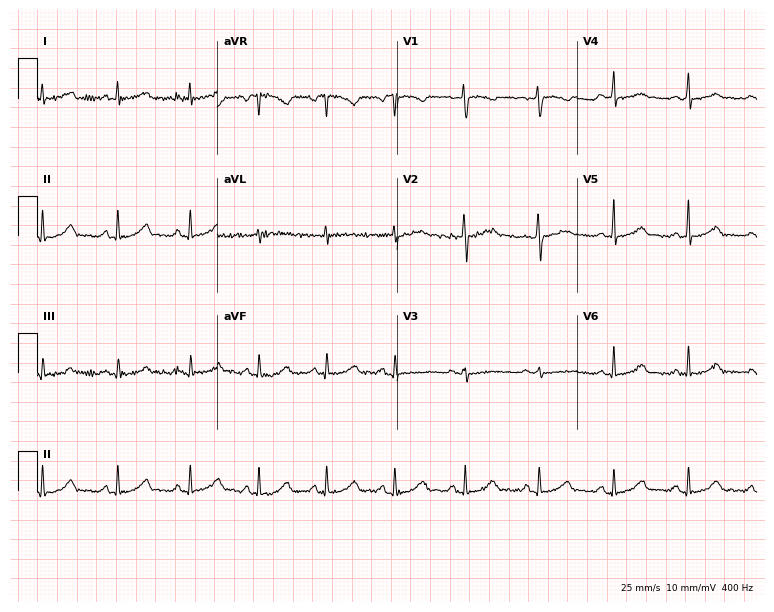
Resting 12-lead electrocardiogram. Patient: a 40-year-old woman. Read as a normal ECG.